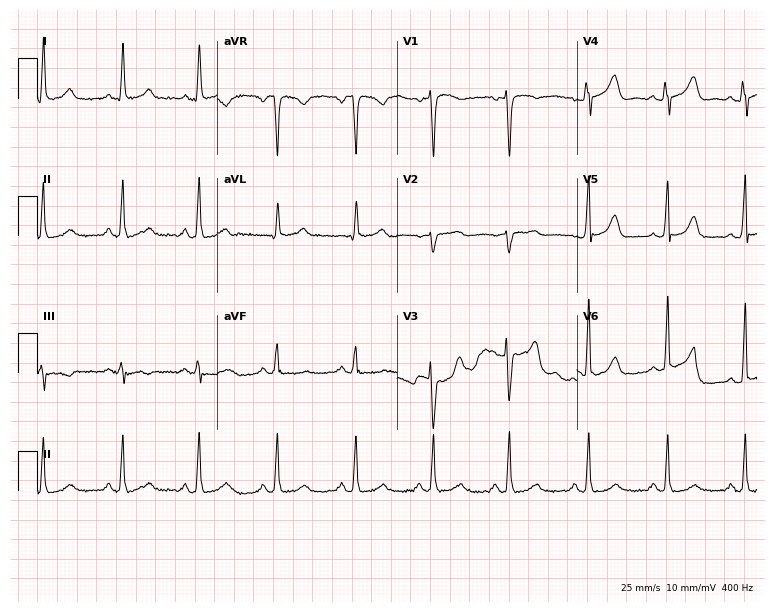
ECG — a 45-year-old female. Labelled as a normal ECG.